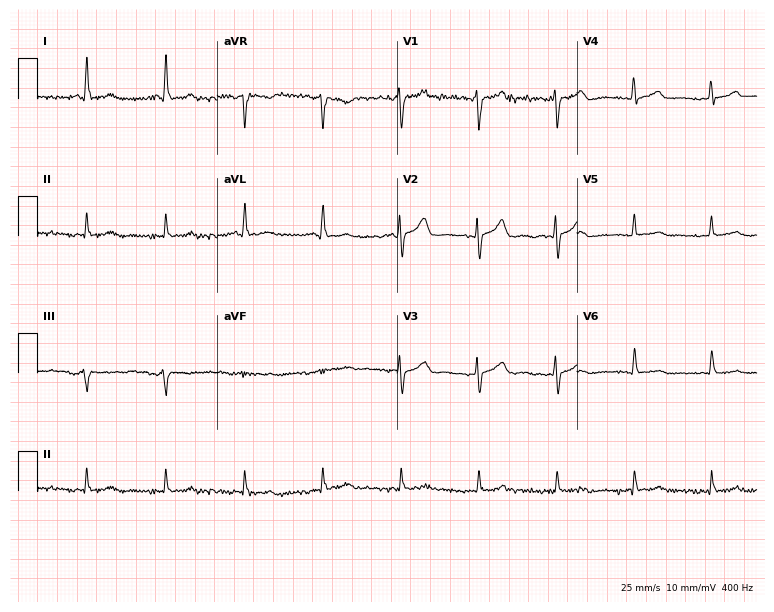
Resting 12-lead electrocardiogram. Patient: a 54-year-old woman. Read as a normal ECG.